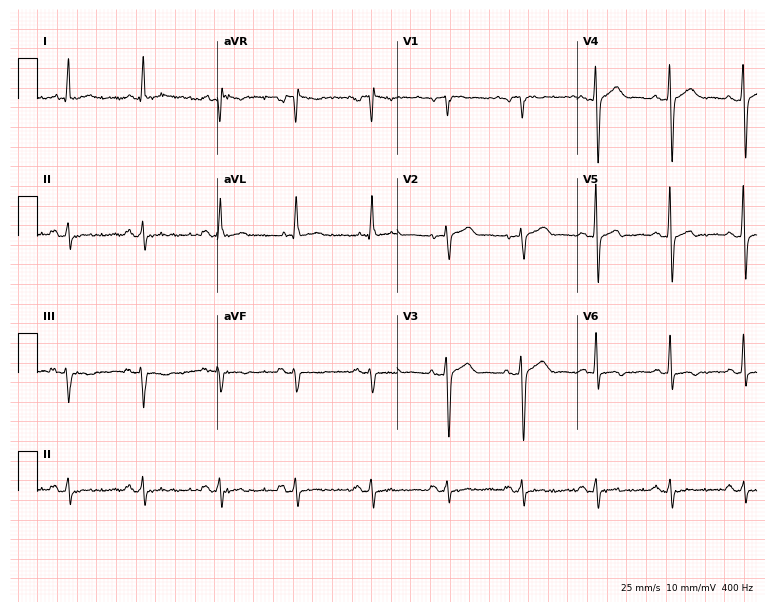
Standard 12-lead ECG recorded from a 70-year-old male. None of these six findings is recorded: first-degree AV block, right bundle branch block, left bundle branch block, sinus bradycardia, atrial fibrillation, sinus tachycardia.